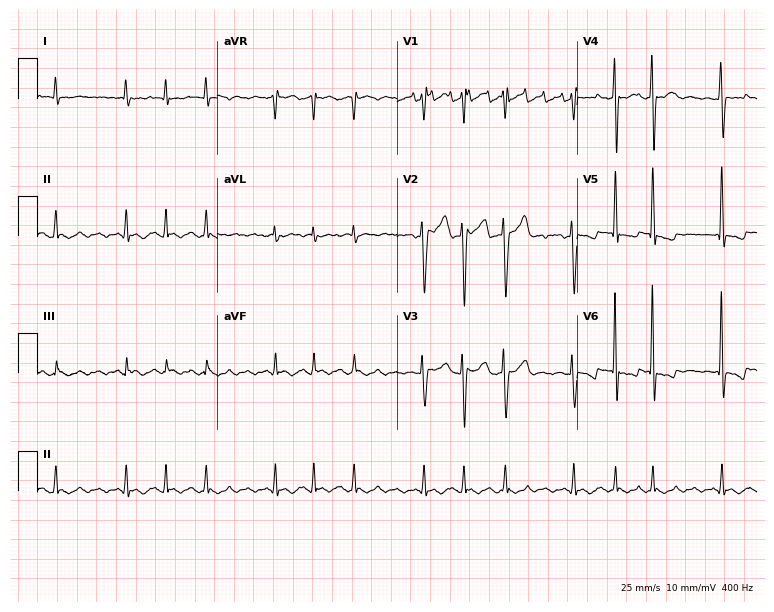
Resting 12-lead electrocardiogram (7.3-second recording at 400 Hz). Patient: a male, 83 years old. None of these six findings is recorded: first-degree AV block, right bundle branch block, left bundle branch block, sinus bradycardia, atrial fibrillation, sinus tachycardia.